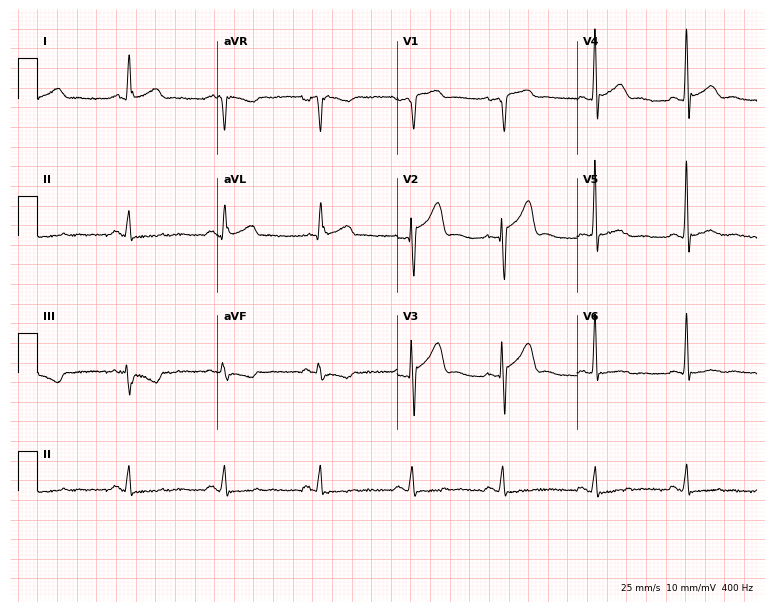
ECG — a male patient, 44 years old. Screened for six findings — first-degree AV block, right bundle branch block, left bundle branch block, sinus bradycardia, atrial fibrillation, sinus tachycardia — none is recorded. Other findings, if any, are not listed.